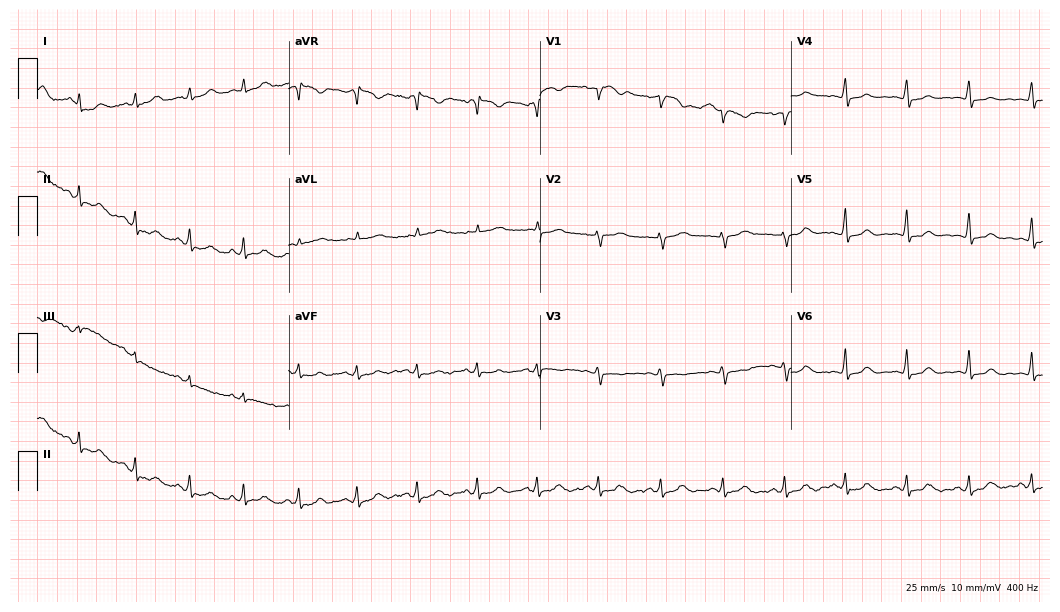
Standard 12-lead ECG recorded from a female, 38 years old. None of these six findings is recorded: first-degree AV block, right bundle branch block, left bundle branch block, sinus bradycardia, atrial fibrillation, sinus tachycardia. Findings outside these six are not listed.